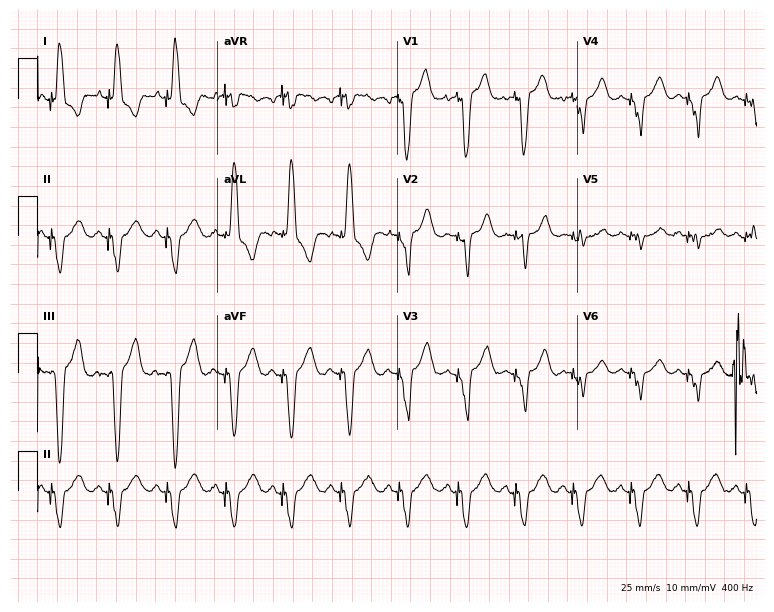
ECG — an 81-year-old woman. Screened for six findings — first-degree AV block, right bundle branch block, left bundle branch block, sinus bradycardia, atrial fibrillation, sinus tachycardia — none is recorded. Other findings, if any, are not listed.